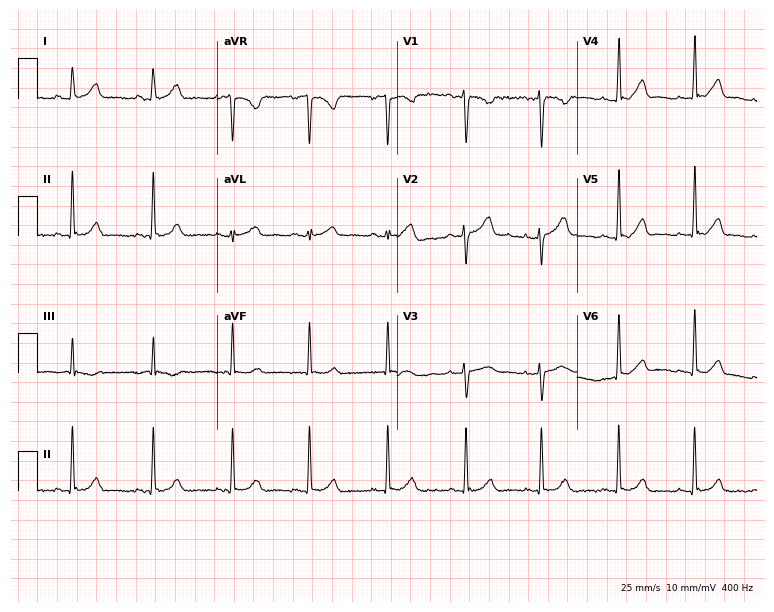
Resting 12-lead electrocardiogram. Patient: a female, 39 years old. Read as a normal ECG.